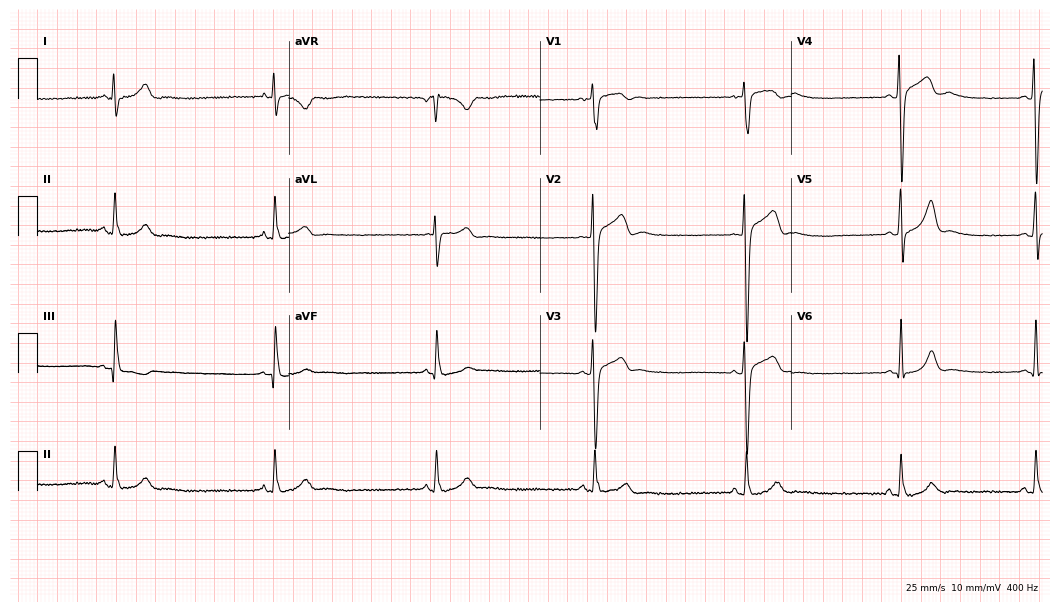
Standard 12-lead ECG recorded from a 25-year-old male patient. None of these six findings is recorded: first-degree AV block, right bundle branch block (RBBB), left bundle branch block (LBBB), sinus bradycardia, atrial fibrillation (AF), sinus tachycardia. Findings outside these six are not listed.